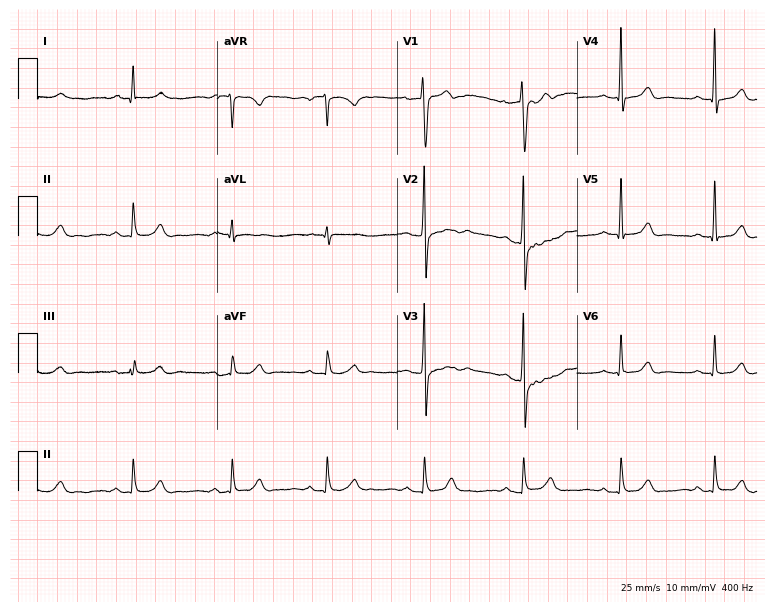
ECG — a man, 27 years old. Screened for six findings — first-degree AV block, right bundle branch block, left bundle branch block, sinus bradycardia, atrial fibrillation, sinus tachycardia — none is recorded.